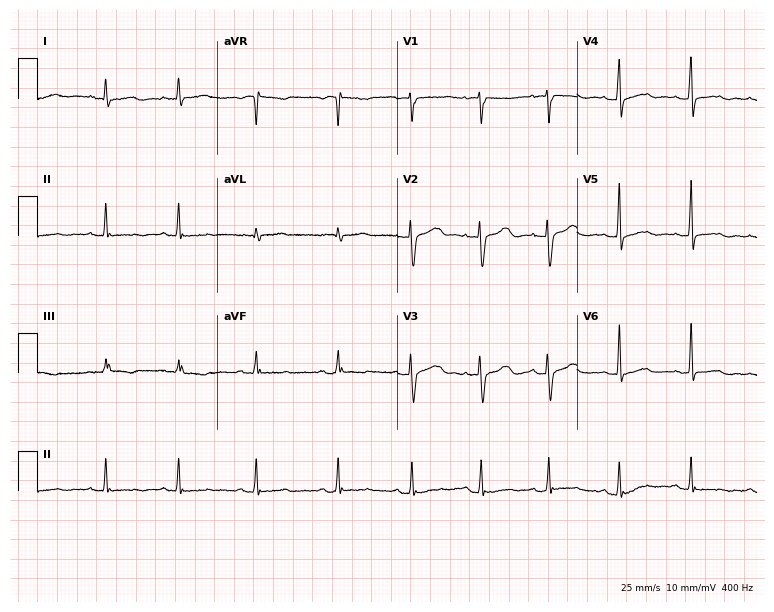
ECG (7.3-second recording at 400 Hz) — a 32-year-old female patient. Screened for six findings — first-degree AV block, right bundle branch block, left bundle branch block, sinus bradycardia, atrial fibrillation, sinus tachycardia — none is recorded.